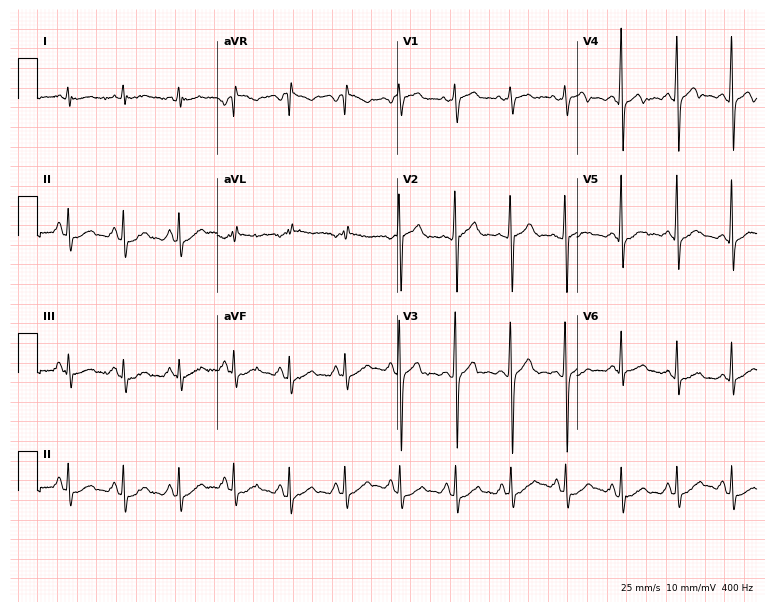
Standard 12-lead ECG recorded from a male patient, 35 years old (7.3-second recording at 400 Hz). The tracing shows sinus tachycardia (a sinus rate of 100 beats per minute or more).